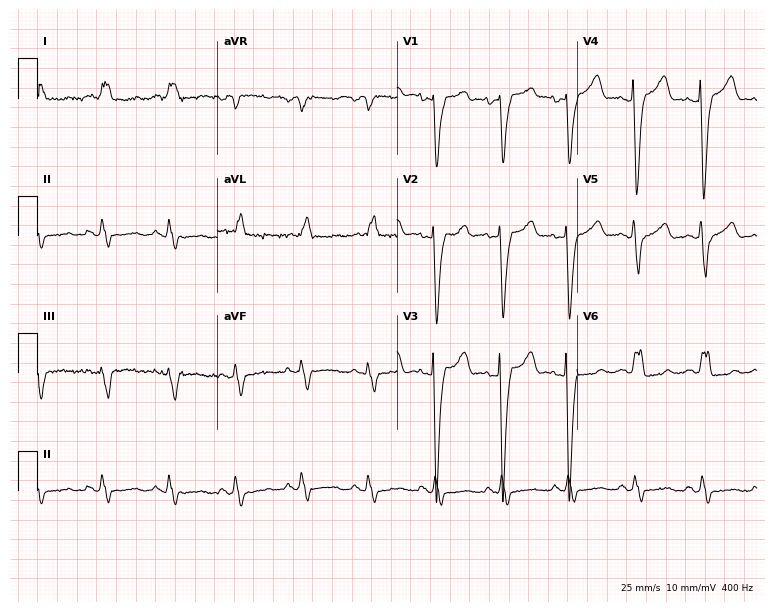
ECG (7.3-second recording at 400 Hz) — a 71-year-old woman. Findings include left bundle branch block (LBBB).